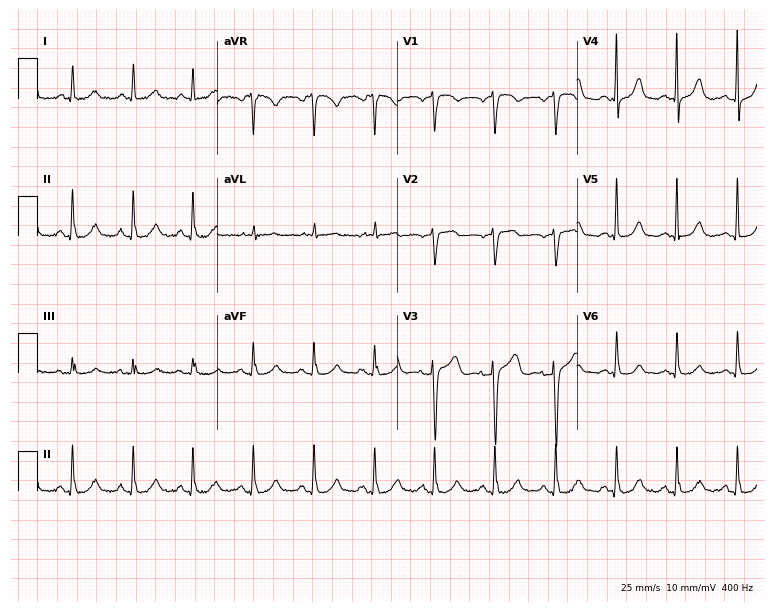
Resting 12-lead electrocardiogram (7.3-second recording at 400 Hz). Patient: a 60-year-old male. None of these six findings is recorded: first-degree AV block, right bundle branch block, left bundle branch block, sinus bradycardia, atrial fibrillation, sinus tachycardia. Findings outside these six are not listed.